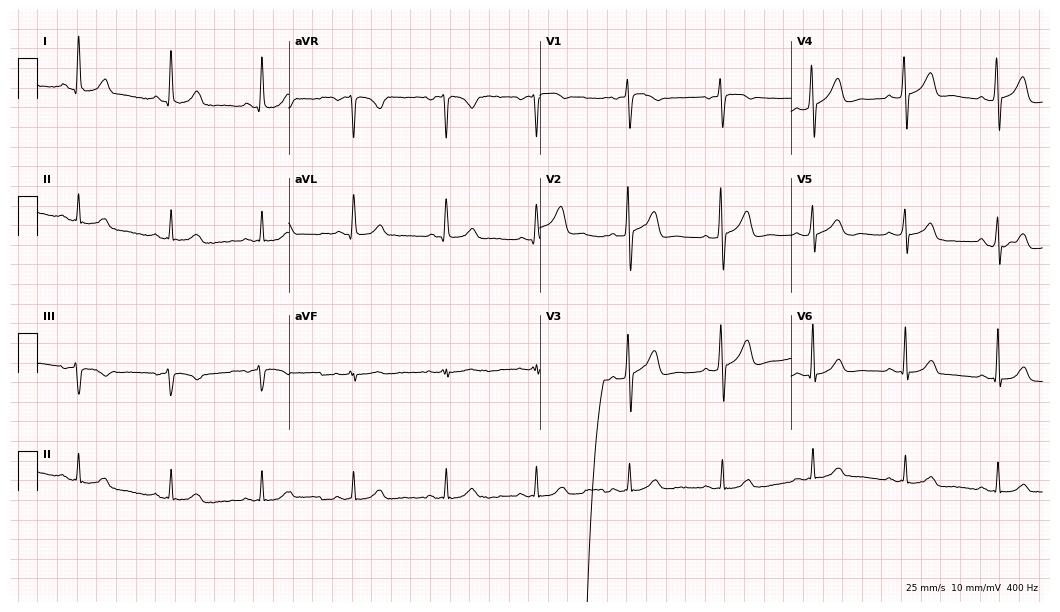
Standard 12-lead ECG recorded from a man, 57 years old. Read as a normal ECG.